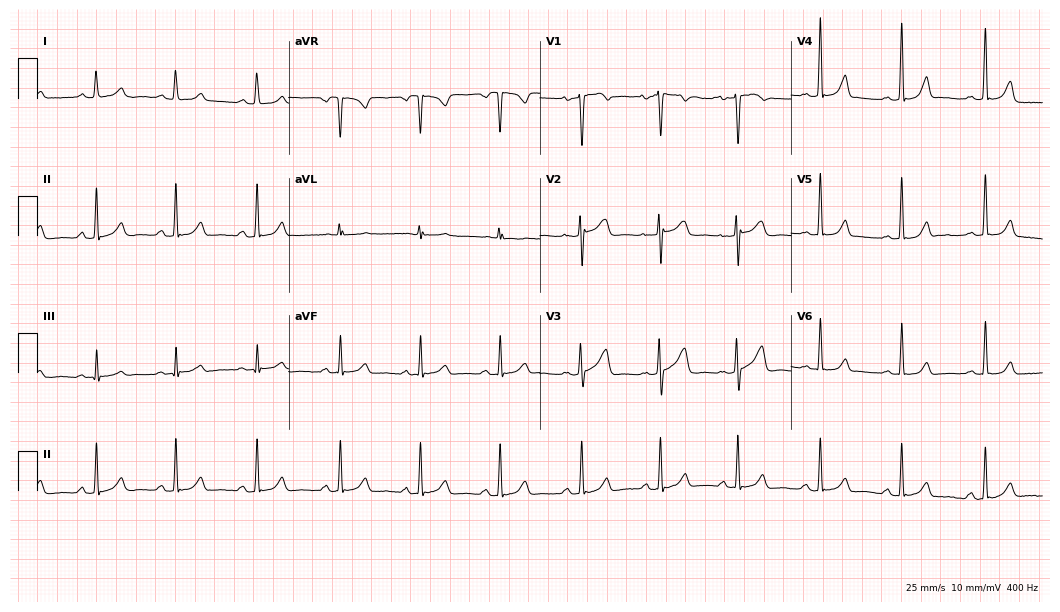
12-lead ECG from a female, 29 years old (10.2-second recording at 400 Hz). Recorded interpretation: within normal limits.